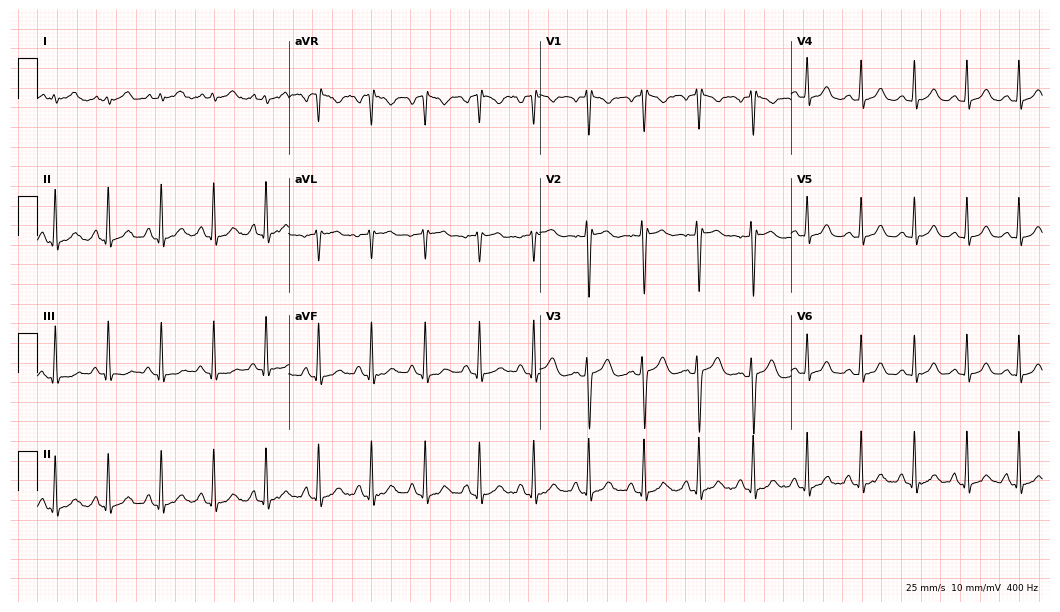
ECG (10.2-second recording at 400 Hz) — a female patient, 29 years old. Findings include sinus tachycardia (a sinus rate of 100 beats per minute or more).